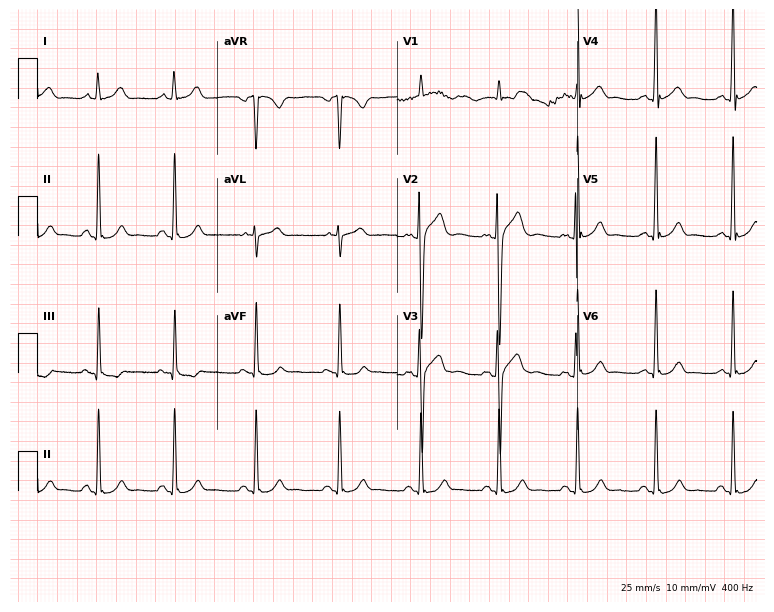
12-lead ECG from a male patient, 25 years old. Labelled as a normal ECG.